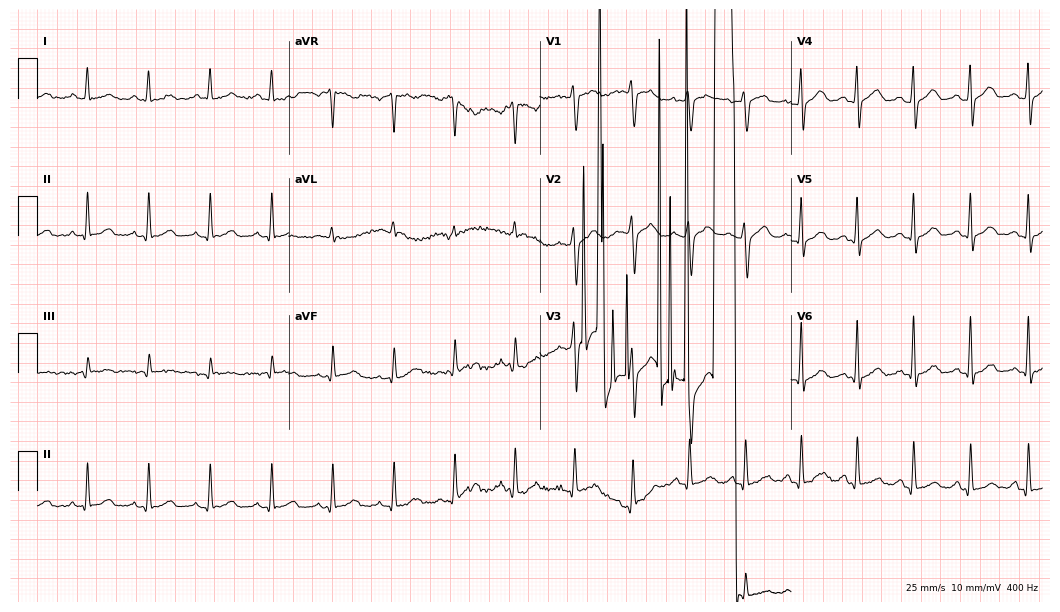
Electrocardiogram, a male, 34 years old. Of the six screened findings (first-degree AV block, right bundle branch block (RBBB), left bundle branch block (LBBB), sinus bradycardia, atrial fibrillation (AF), sinus tachycardia), none is recorded. Findings outside these six are not listed.